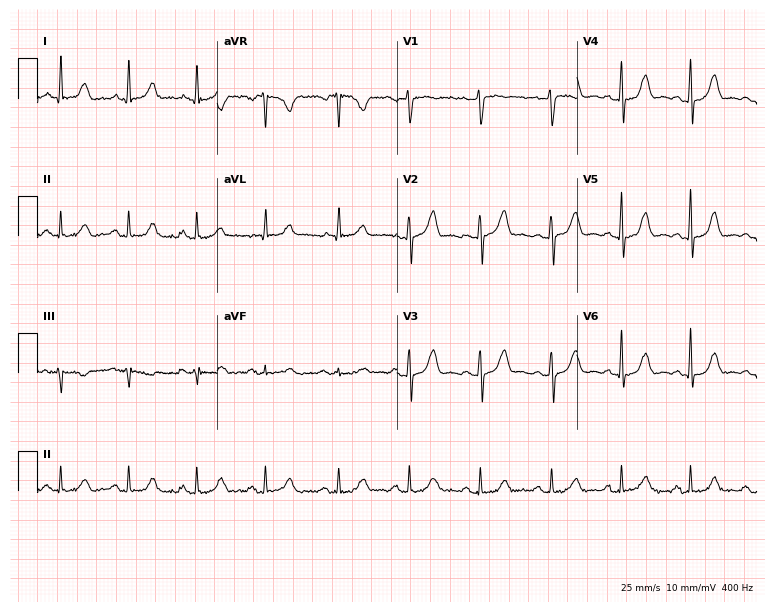
Standard 12-lead ECG recorded from a female, 45 years old. None of these six findings is recorded: first-degree AV block, right bundle branch block, left bundle branch block, sinus bradycardia, atrial fibrillation, sinus tachycardia.